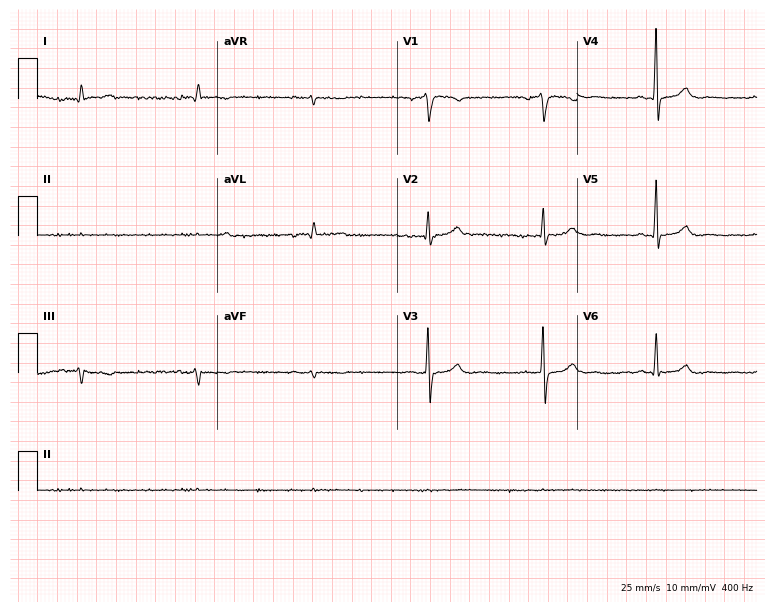
ECG — a 67-year-old male patient. Screened for six findings — first-degree AV block, right bundle branch block, left bundle branch block, sinus bradycardia, atrial fibrillation, sinus tachycardia — none is recorded.